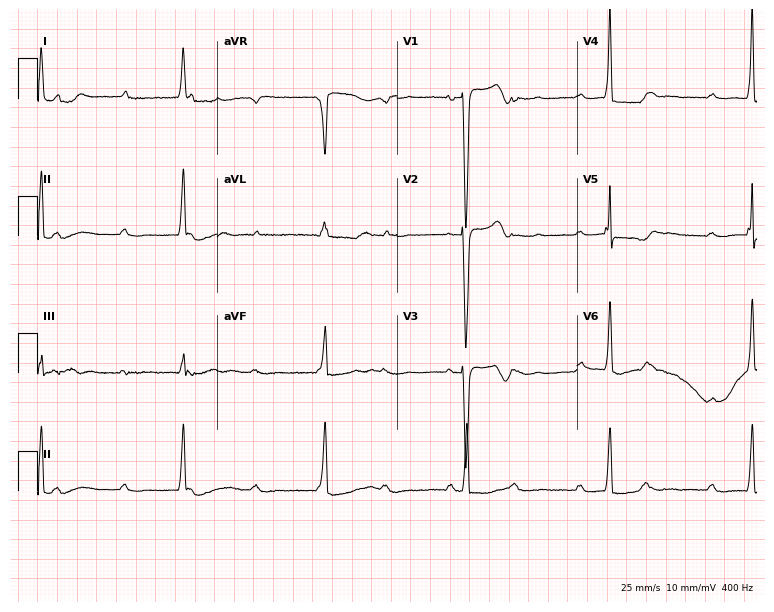
Standard 12-lead ECG recorded from a female, 69 years old (7.3-second recording at 400 Hz). None of these six findings is recorded: first-degree AV block, right bundle branch block (RBBB), left bundle branch block (LBBB), sinus bradycardia, atrial fibrillation (AF), sinus tachycardia. Findings outside these six are not listed.